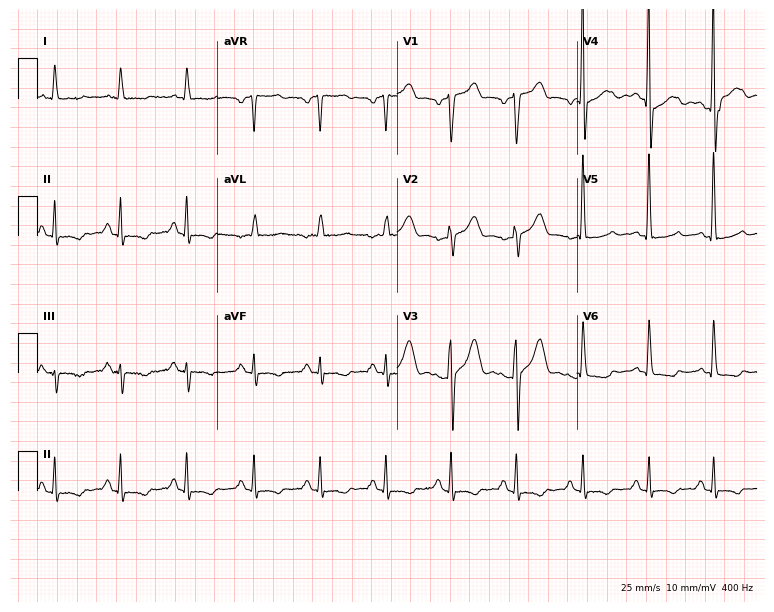
12-lead ECG from a 57-year-old male patient. Screened for six findings — first-degree AV block, right bundle branch block, left bundle branch block, sinus bradycardia, atrial fibrillation, sinus tachycardia — none is recorded. Findings outside these six are not listed.